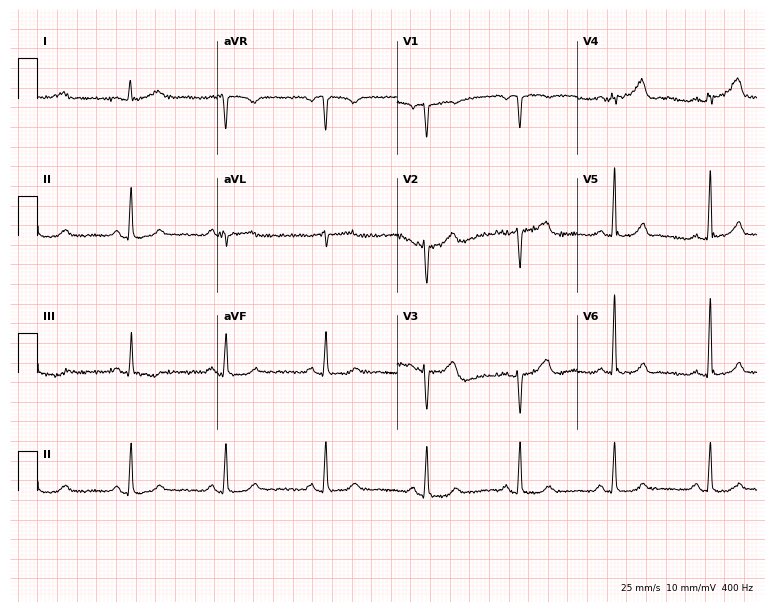
Resting 12-lead electrocardiogram. Patient: a female, 50 years old. Read as a normal ECG.